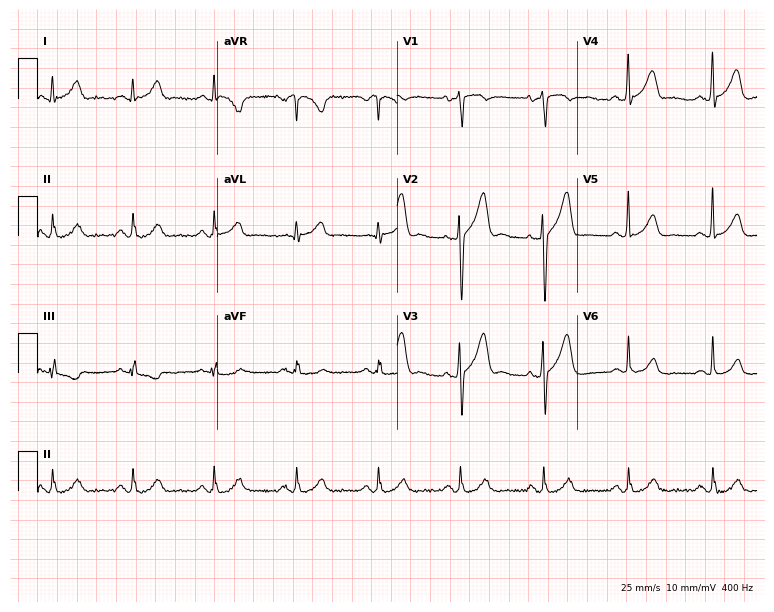
Standard 12-lead ECG recorded from a 33-year-old male patient. None of these six findings is recorded: first-degree AV block, right bundle branch block, left bundle branch block, sinus bradycardia, atrial fibrillation, sinus tachycardia.